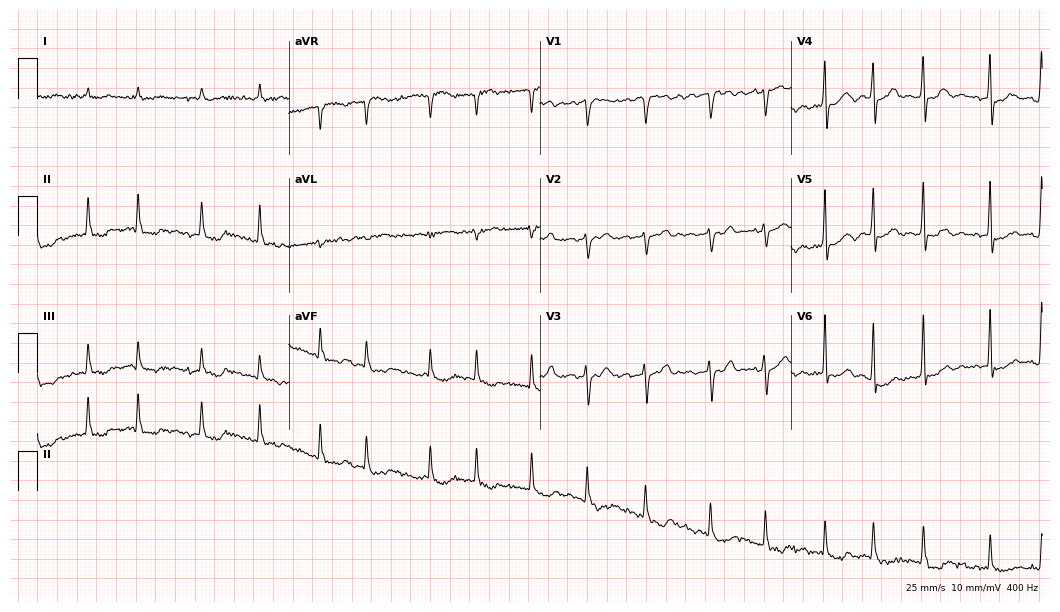
12-lead ECG from an 80-year-old male patient (10.2-second recording at 400 Hz). Shows atrial fibrillation (AF).